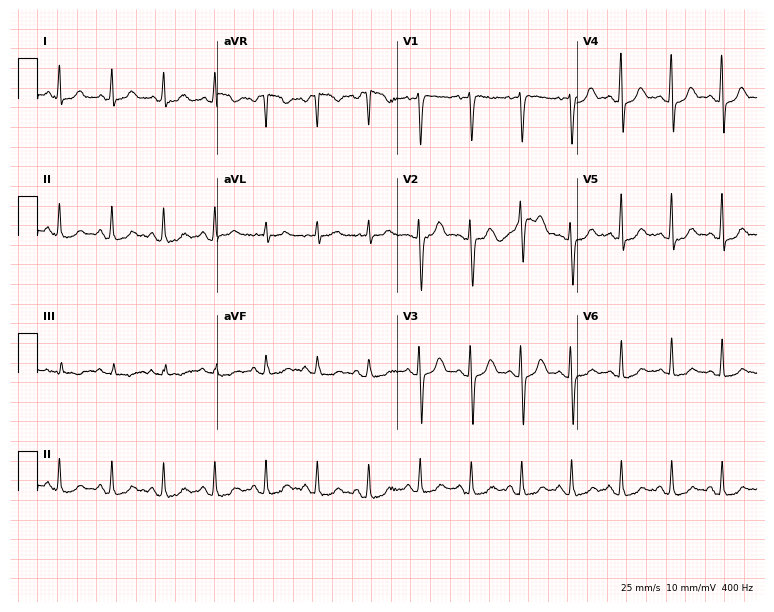
12-lead ECG (7.3-second recording at 400 Hz) from a 26-year-old female patient. Findings include sinus tachycardia (a sinus rate of 100 beats per minute or more).